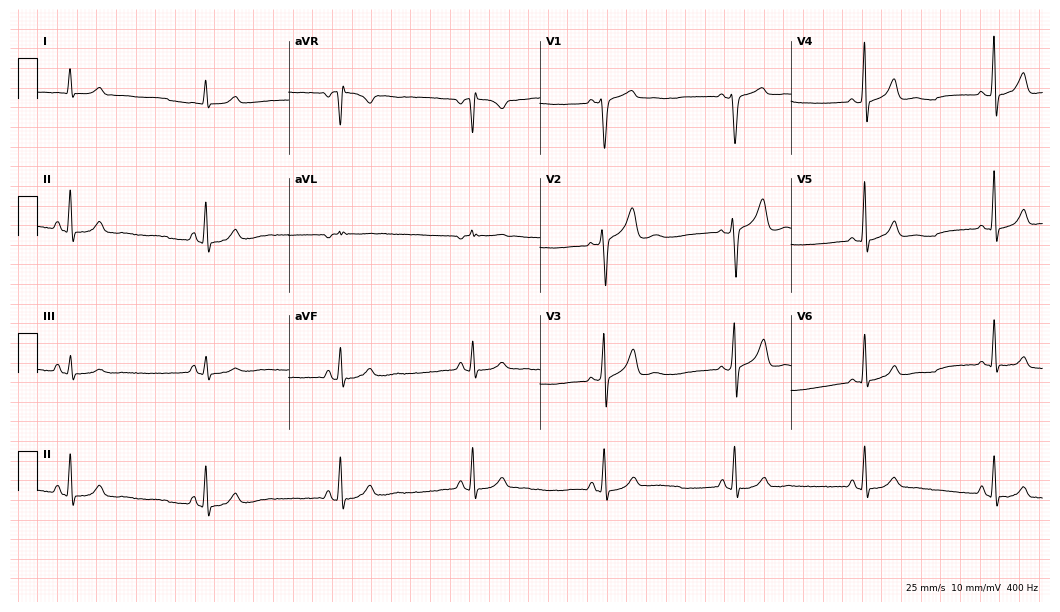
12-lead ECG from a male patient, 32 years old (10.2-second recording at 400 Hz). Shows sinus bradycardia (a sinus rate of 50 beats per minute or less).